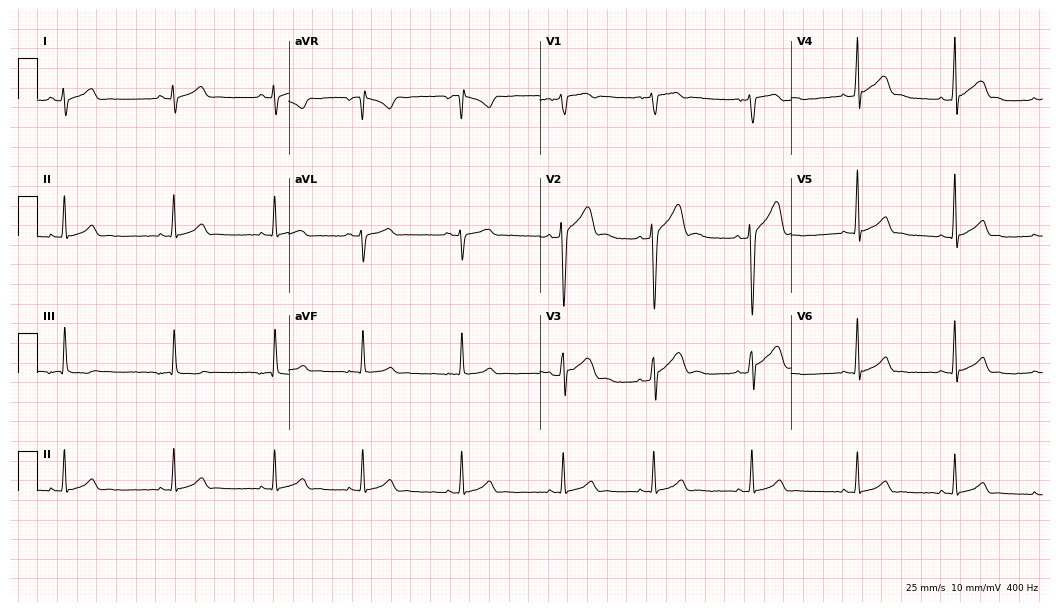
12-lead ECG from a male, 38 years old. No first-degree AV block, right bundle branch block, left bundle branch block, sinus bradycardia, atrial fibrillation or sinus tachycardia recorded for this tracing. Findings outside these six are not listed.